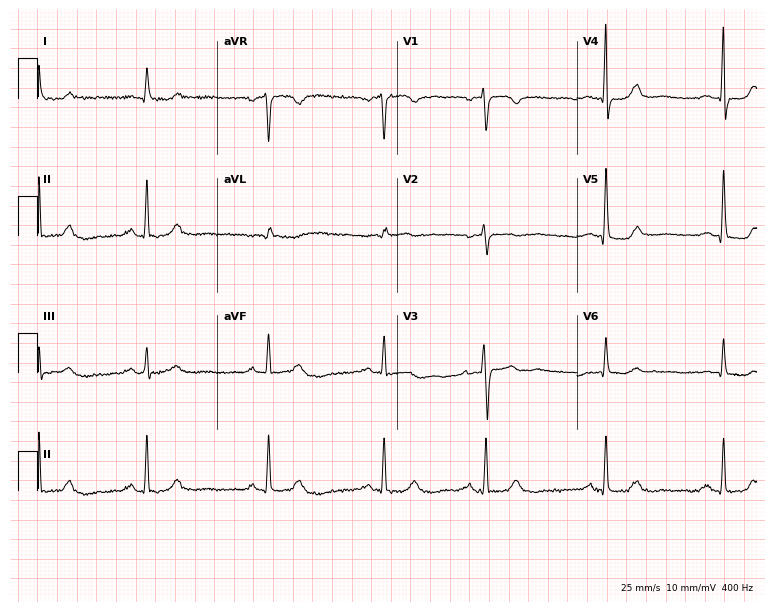
Standard 12-lead ECG recorded from a 73-year-old woman. Read as a normal ECG.